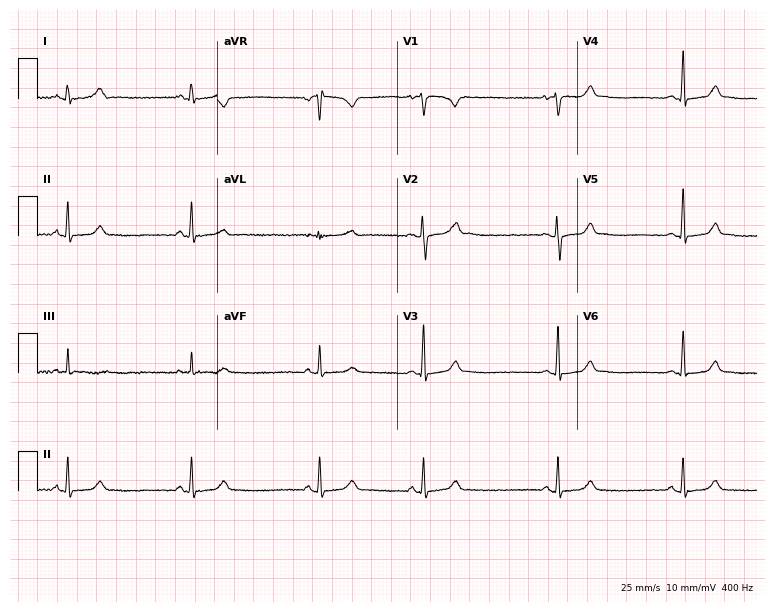
12-lead ECG from a woman, 19 years old (7.3-second recording at 400 Hz). Shows sinus bradycardia (a sinus rate of 50 beats per minute or less).